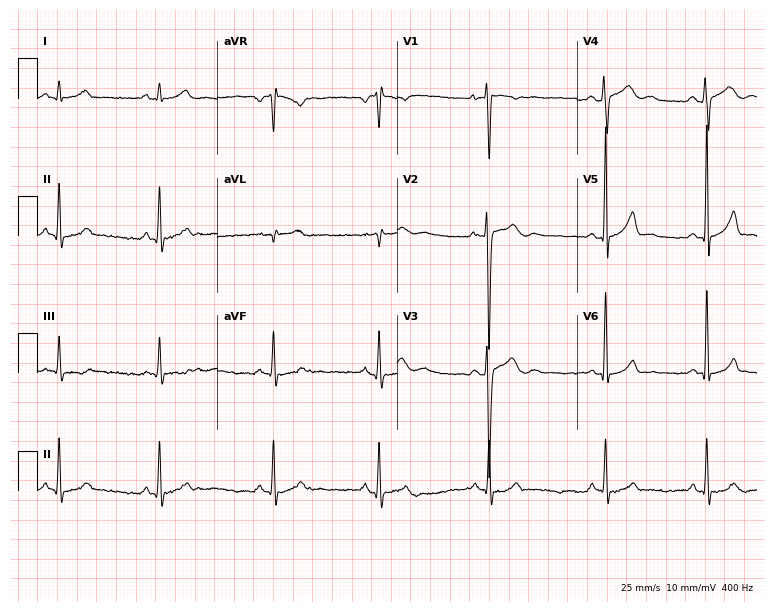
Electrocardiogram (7.3-second recording at 400 Hz), a male, 25 years old. Overall reading on record: normal ECG.